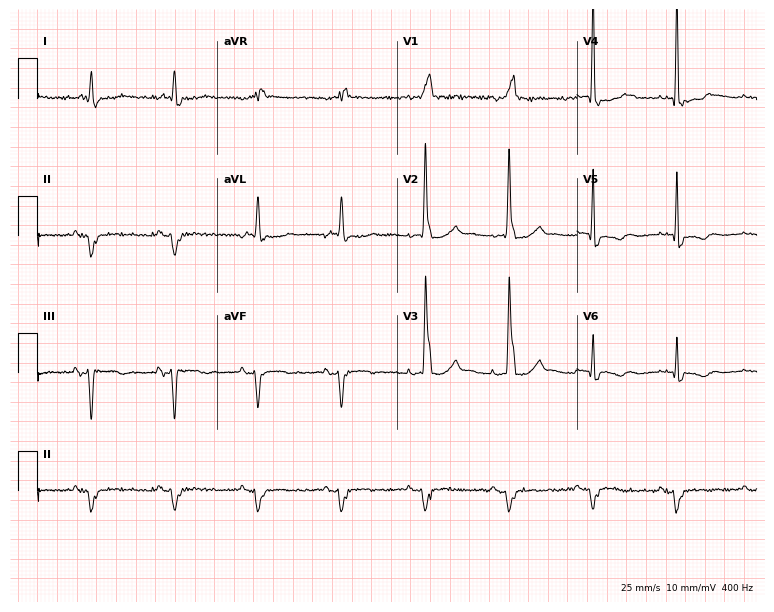
Resting 12-lead electrocardiogram. Patient: an 83-year-old man. None of these six findings is recorded: first-degree AV block, right bundle branch block, left bundle branch block, sinus bradycardia, atrial fibrillation, sinus tachycardia. Findings outside these six are not listed.